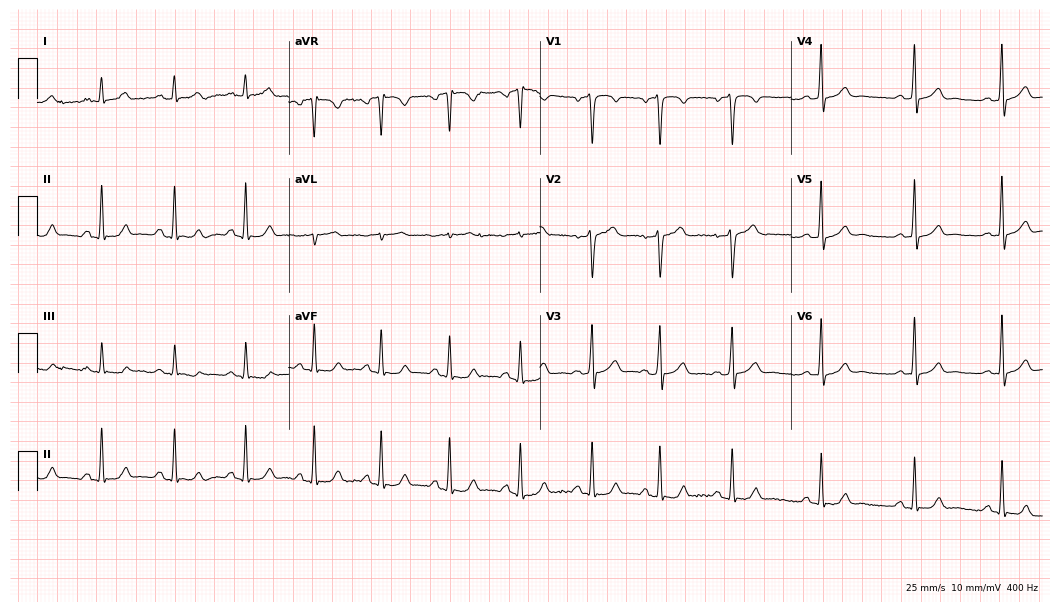
12-lead ECG from a 42-year-old male patient. Recorded interpretation: within normal limits.